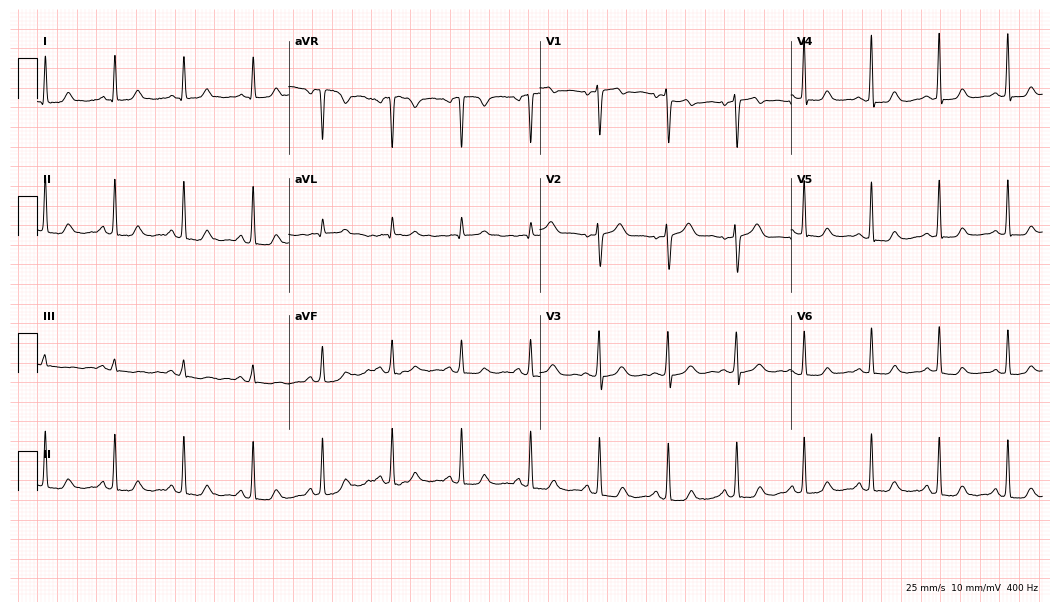
ECG (10.2-second recording at 400 Hz) — a 50-year-old female patient. Screened for six findings — first-degree AV block, right bundle branch block (RBBB), left bundle branch block (LBBB), sinus bradycardia, atrial fibrillation (AF), sinus tachycardia — none is recorded.